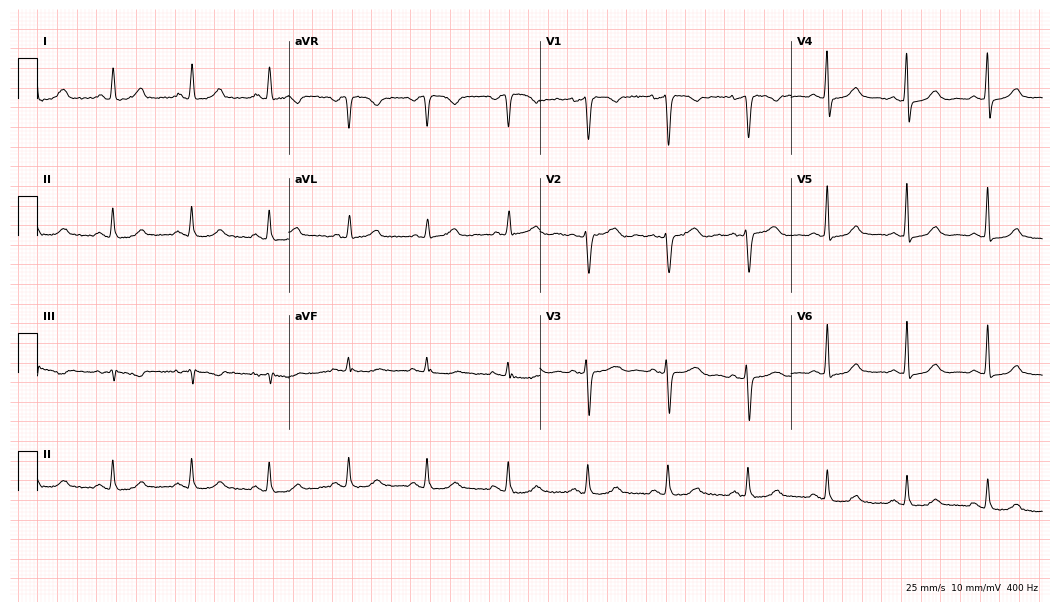
Standard 12-lead ECG recorded from a 47-year-old woman. Read as a normal ECG.